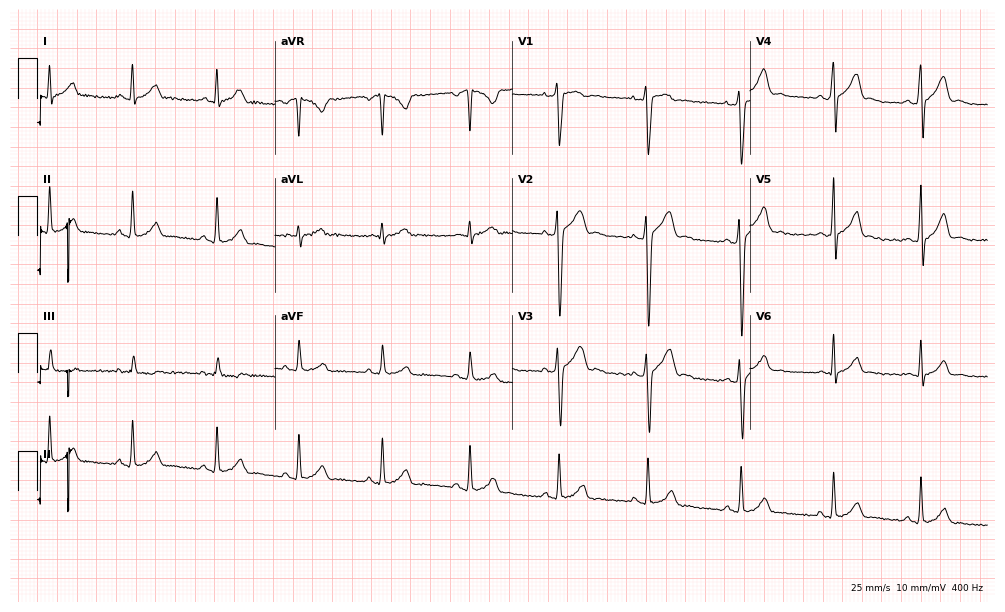
ECG — a 19-year-old male. Labelled as a normal ECG.